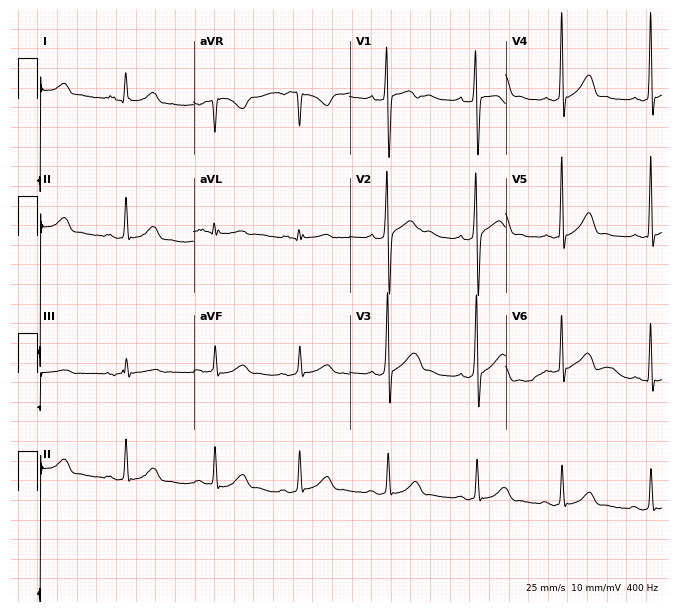
Resting 12-lead electrocardiogram. Patient: a female, 29 years old. Read as a normal ECG.